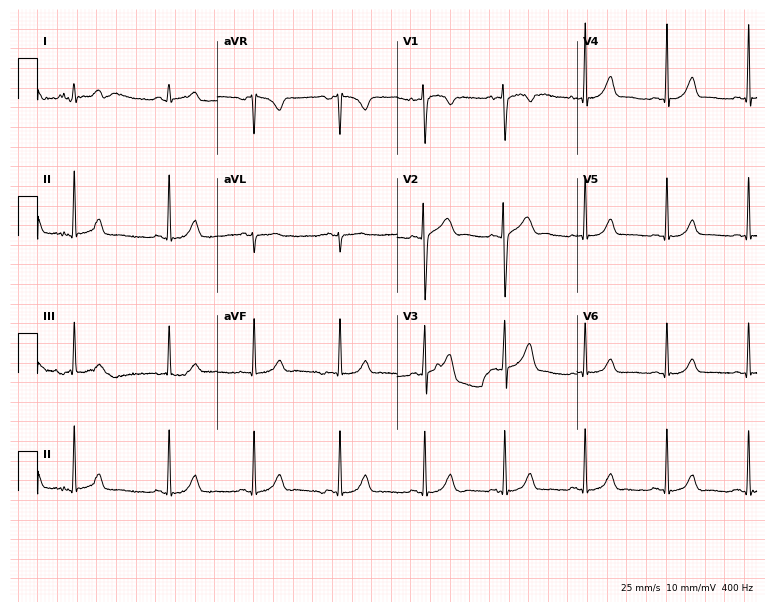
ECG — a woman, 22 years old. Labelled as a normal ECG.